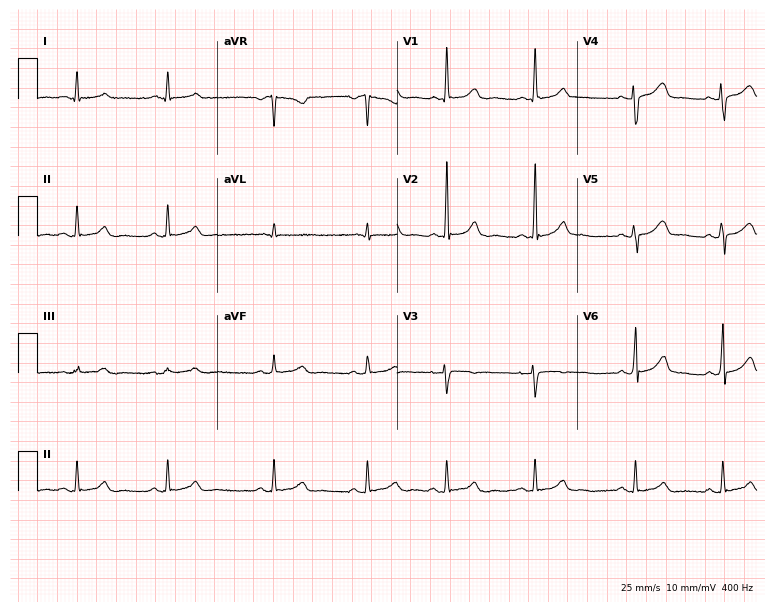
Standard 12-lead ECG recorded from a woman, 23 years old (7.3-second recording at 400 Hz). None of these six findings is recorded: first-degree AV block, right bundle branch block, left bundle branch block, sinus bradycardia, atrial fibrillation, sinus tachycardia.